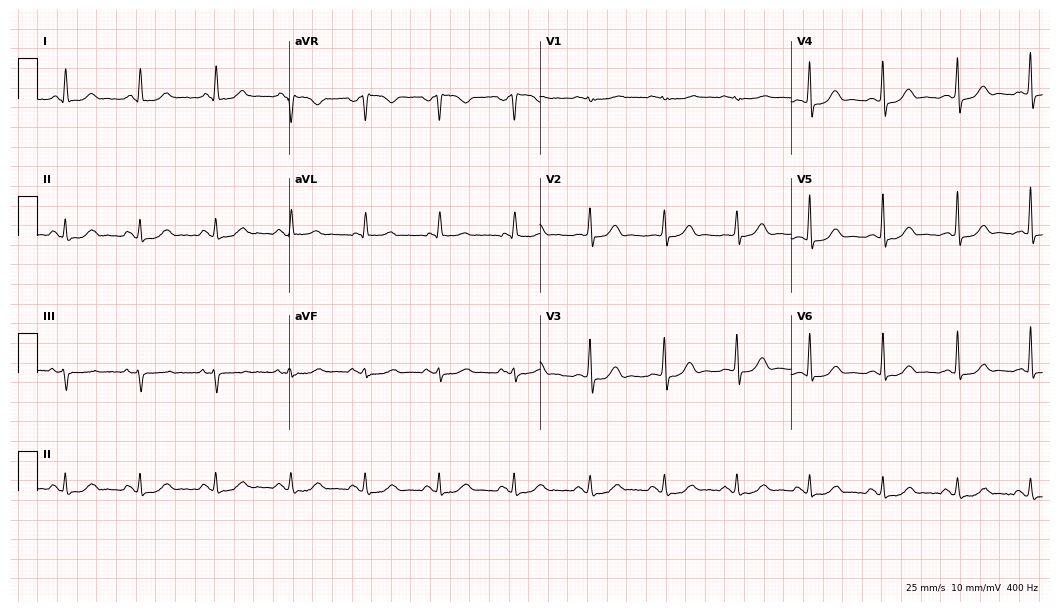
Resting 12-lead electrocardiogram (10.2-second recording at 400 Hz). Patient: a female, 67 years old. Read as a normal ECG.